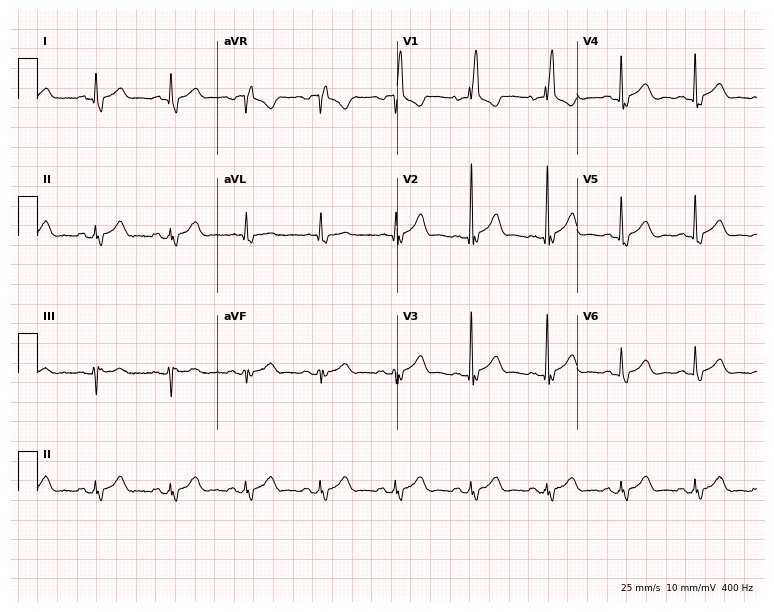
Electrocardiogram, an 82-year-old woman. Interpretation includes right bundle branch block.